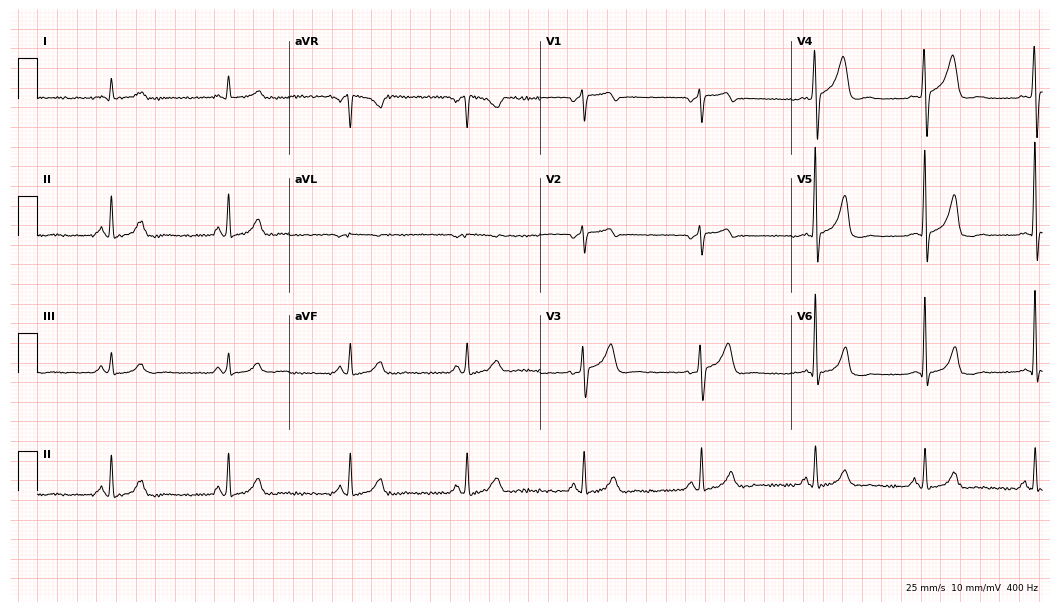
Resting 12-lead electrocardiogram. Patient: a 61-year-old man. None of these six findings is recorded: first-degree AV block, right bundle branch block (RBBB), left bundle branch block (LBBB), sinus bradycardia, atrial fibrillation (AF), sinus tachycardia.